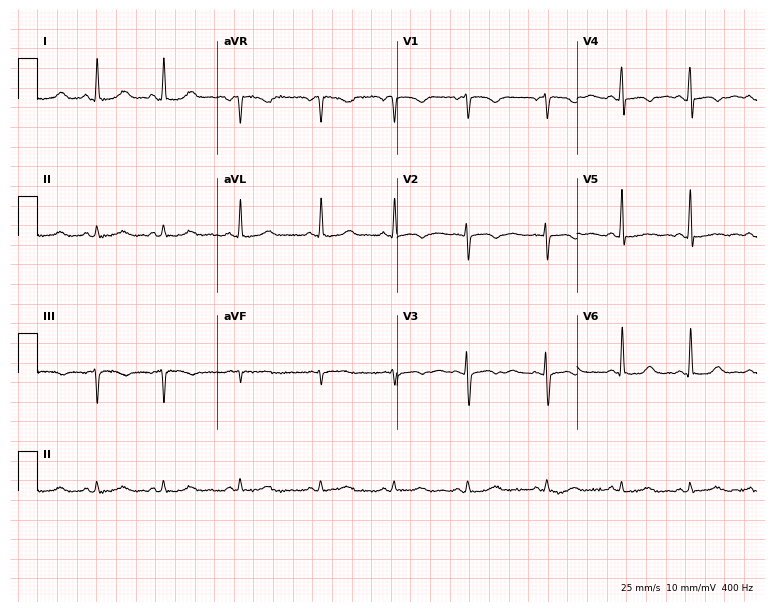
ECG — a 19-year-old female patient. Screened for six findings — first-degree AV block, right bundle branch block, left bundle branch block, sinus bradycardia, atrial fibrillation, sinus tachycardia — none is recorded. Other findings, if any, are not listed.